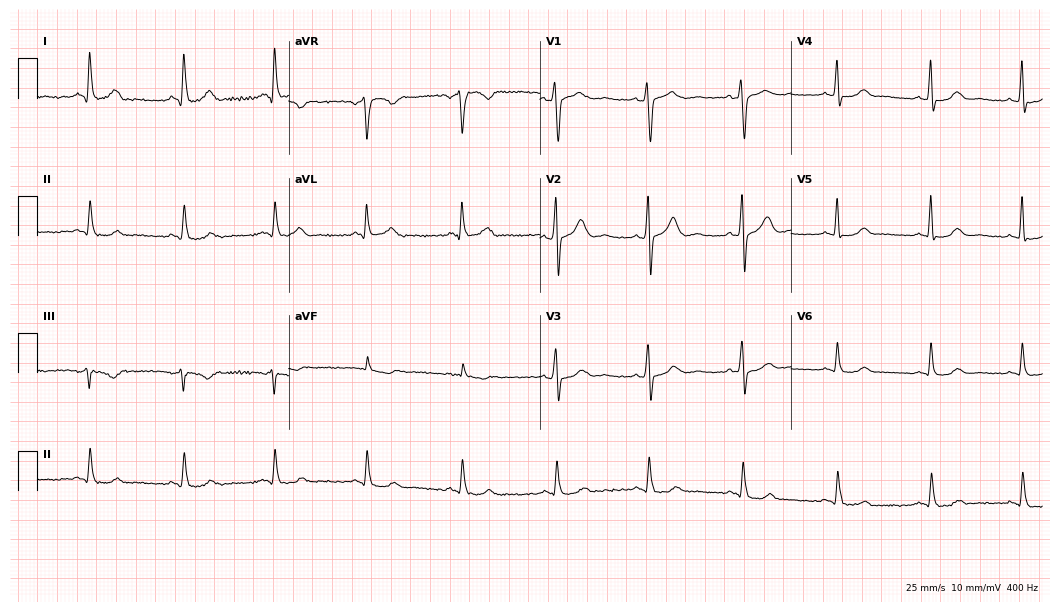
ECG — a 46-year-old man. Labelled as a normal ECG.